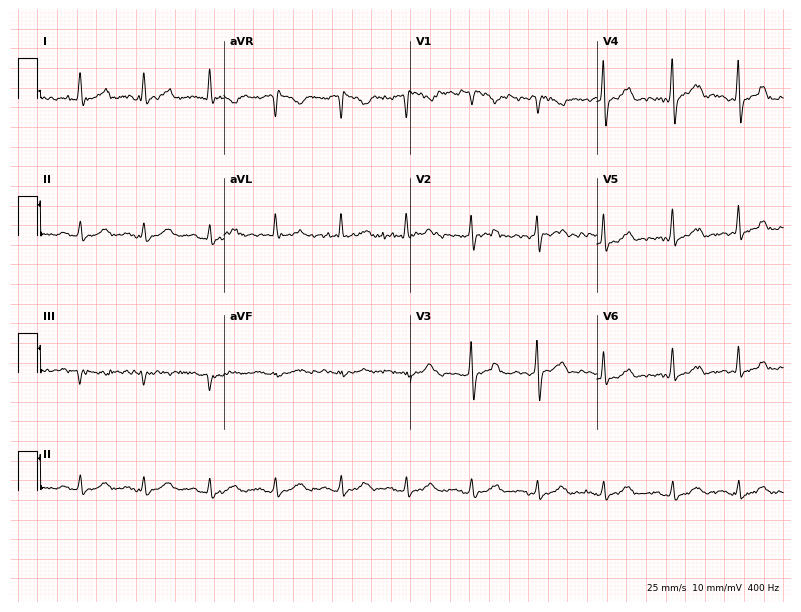
Standard 12-lead ECG recorded from a 45-year-old male. None of these six findings is recorded: first-degree AV block, right bundle branch block (RBBB), left bundle branch block (LBBB), sinus bradycardia, atrial fibrillation (AF), sinus tachycardia.